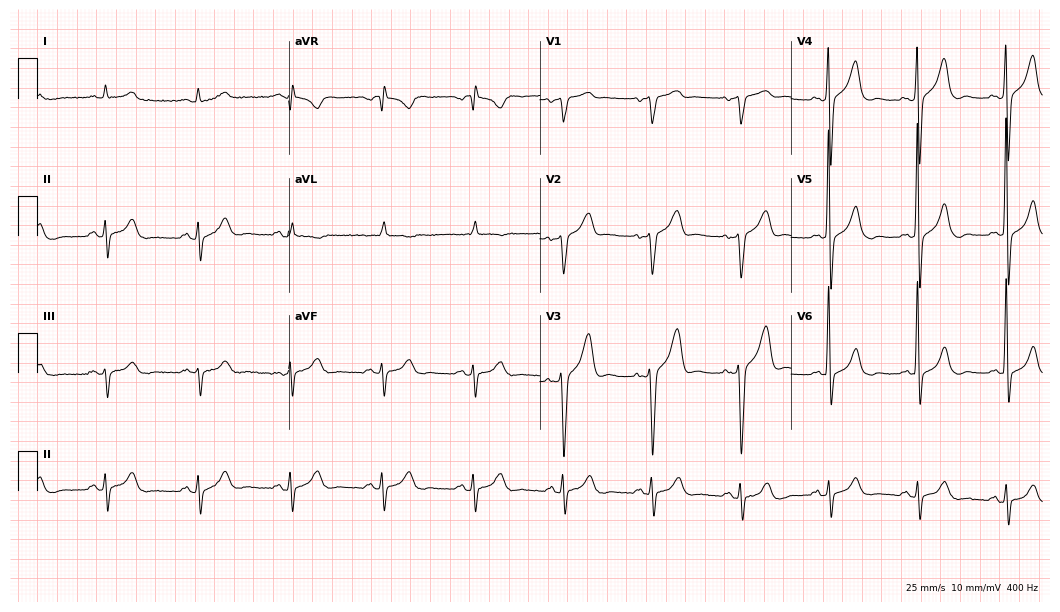
12-lead ECG from a 63-year-old male. Screened for six findings — first-degree AV block, right bundle branch block (RBBB), left bundle branch block (LBBB), sinus bradycardia, atrial fibrillation (AF), sinus tachycardia — none is recorded.